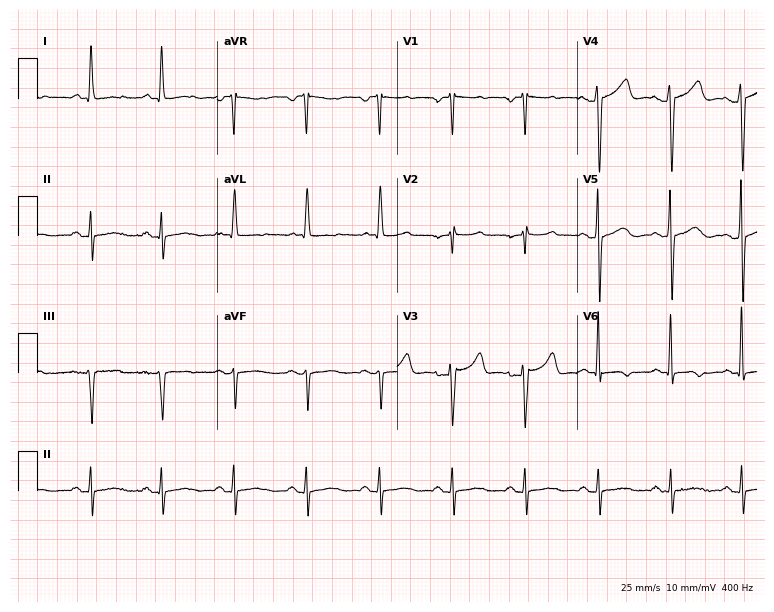
Resting 12-lead electrocardiogram (7.3-second recording at 400 Hz). Patient: a 42-year-old woman. None of these six findings is recorded: first-degree AV block, right bundle branch block, left bundle branch block, sinus bradycardia, atrial fibrillation, sinus tachycardia.